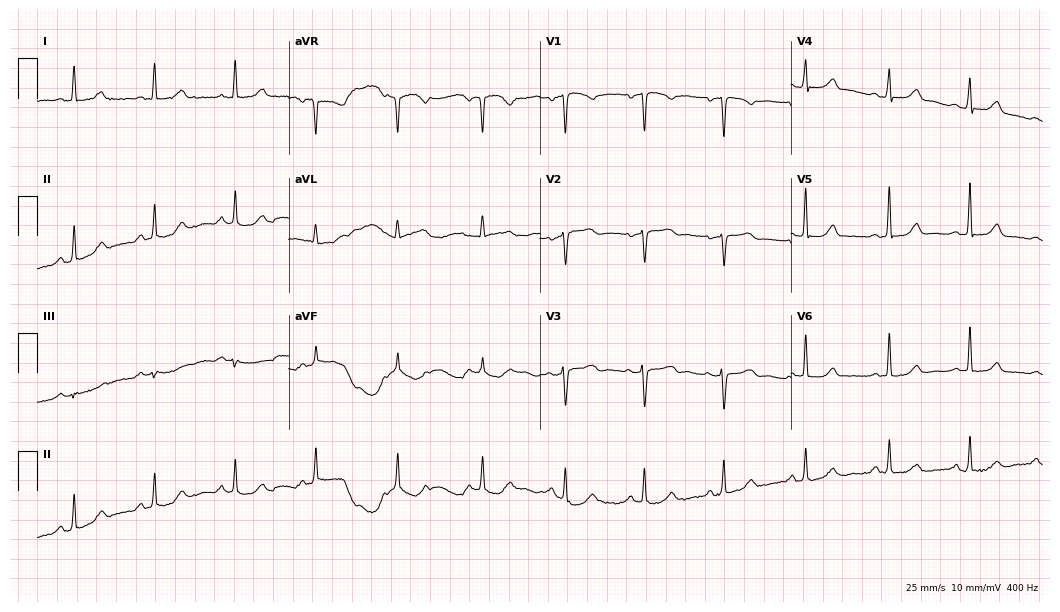
12-lead ECG from a 53-year-old female. No first-degree AV block, right bundle branch block, left bundle branch block, sinus bradycardia, atrial fibrillation or sinus tachycardia recorded for this tracing. Other findings, if any, are not listed.